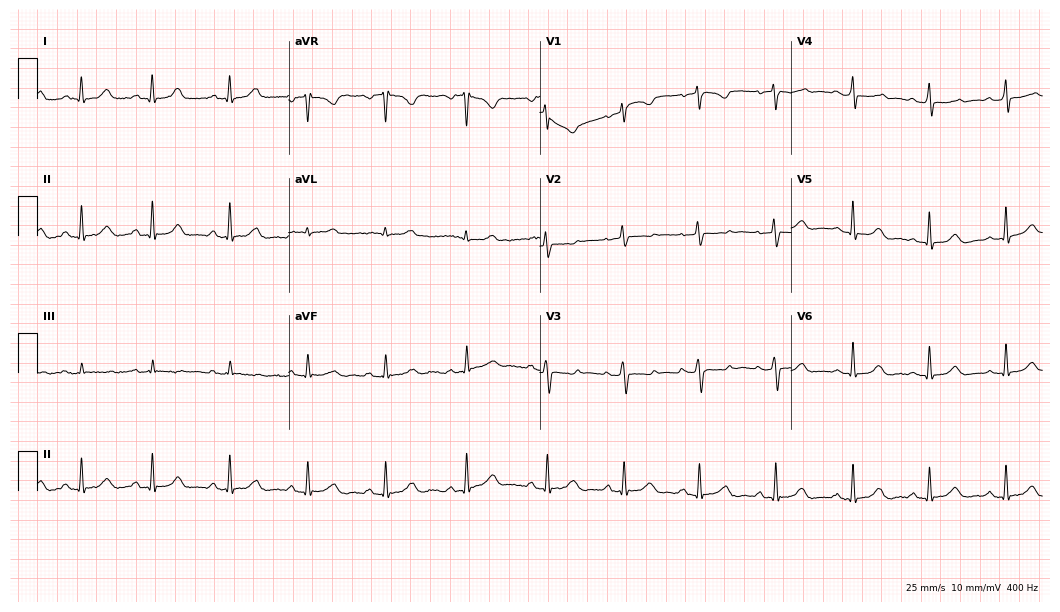
12-lead ECG from a 43-year-old female patient (10.2-second recording at 400 Hz). Recorded interpretation: within normal limits.